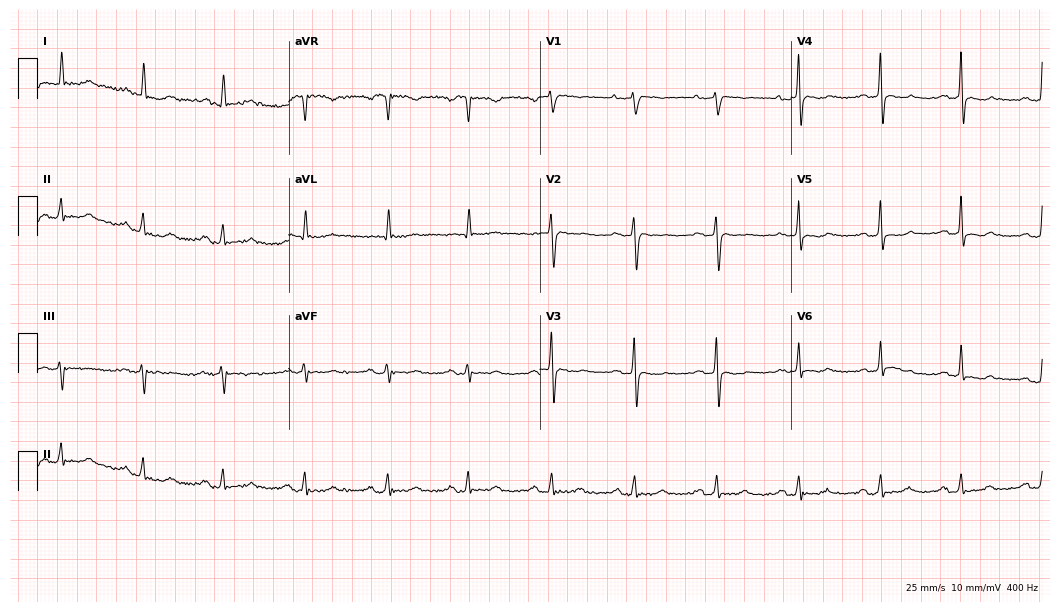
12-lead ECG from a woman, 74 years old. No first-degree AV block, right bundle branch block, left bundle branch block, sinus bradycardia, atrial fibrillation or sinus tachycardia recorded for this tracing. Only these six findings were labelled.